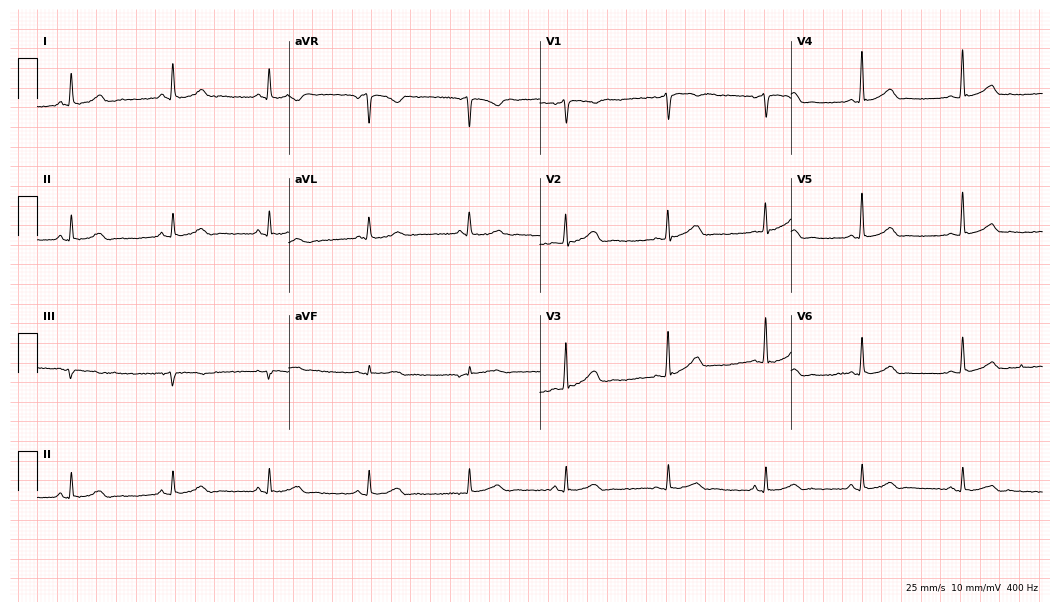
12-lead ECG from a female, 46 years old (10.2-second recording at 400 Hz). Recorded interpretation: within normal limits.